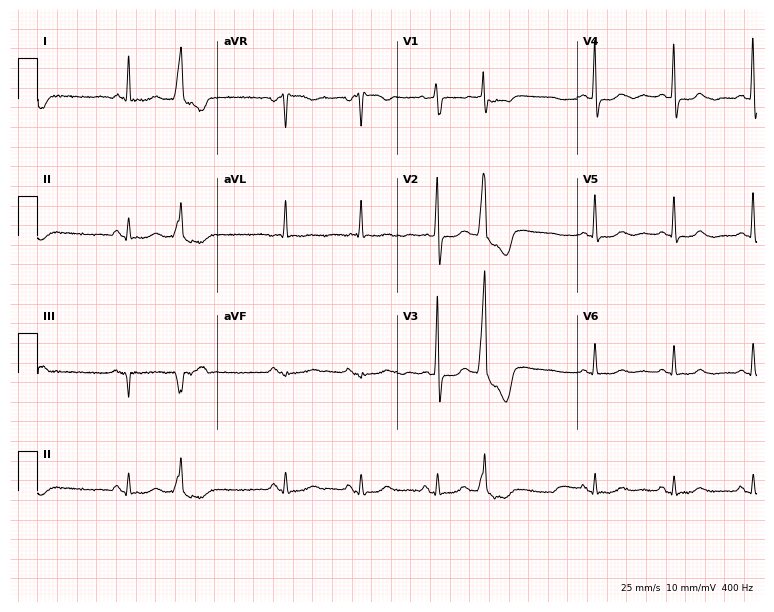
ECG — a female, 77 years old. Screened for six findings — first-degree AV block, right bundle branch block, left bundle branch block, sinus bradycardia, atrial fibrillation, sinus tachycardia — none is recorded.